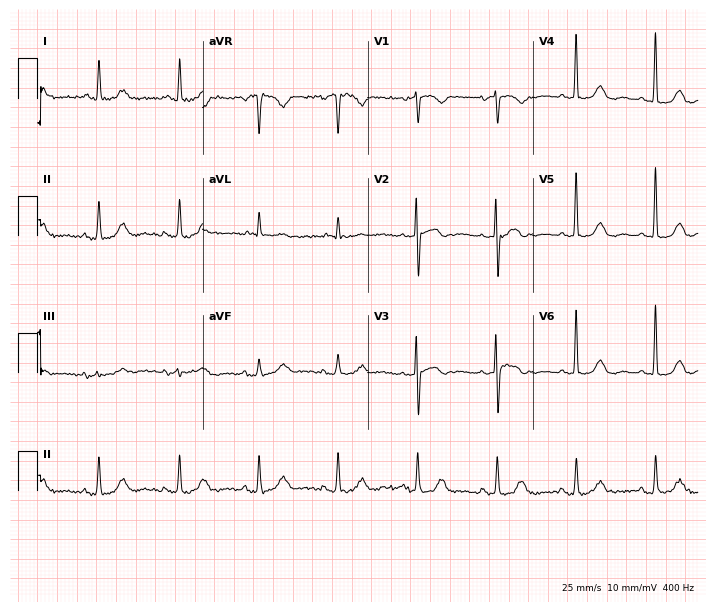
12-lead ECG from a 71-year-old female patient. Recorded interpretation: within normal limits.